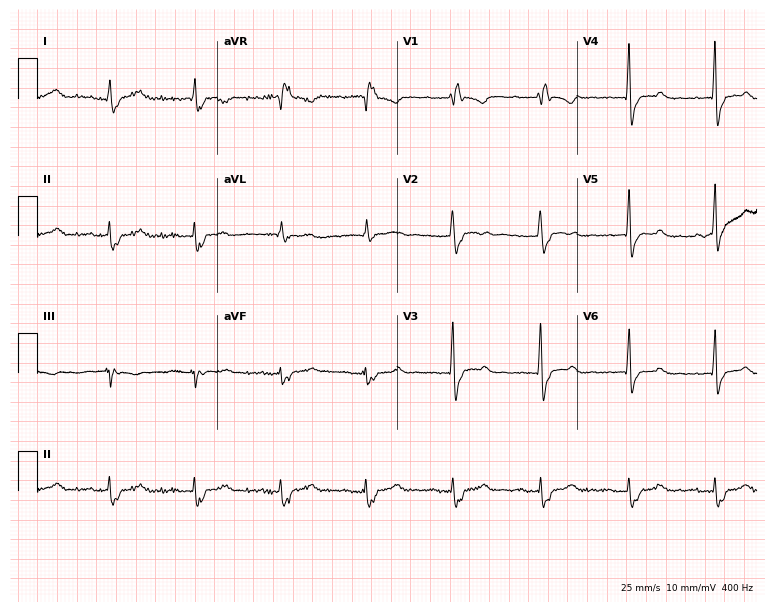
ECG — a female patient, 40 years old. Findings include right bundle branch block.